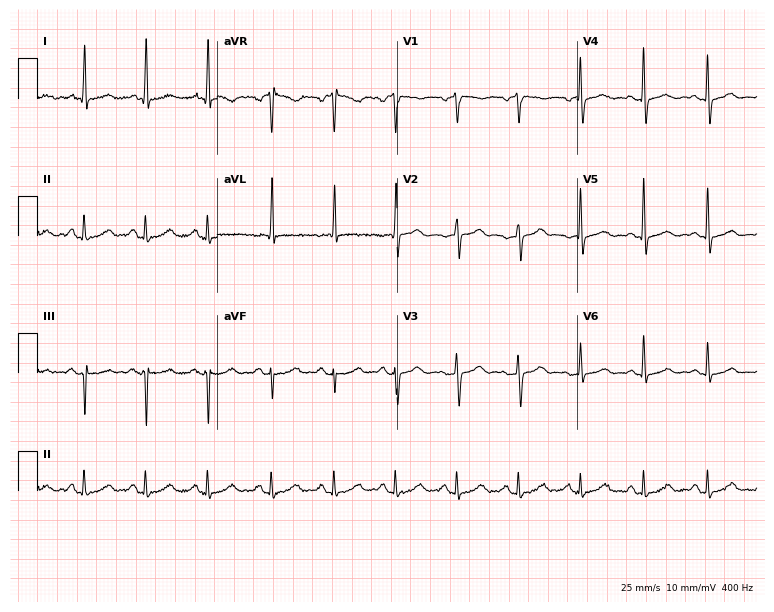
Electrocardiogram, a female, 70 years old. Of the six screened findings (first-degree AV block, right bundle branch block (RBBB), left bundle branch block (LBBB), sinus bradycardia, atrial fibrillation (AF), sinus tachycardia), none is recorded. Only these six findings were labelled.